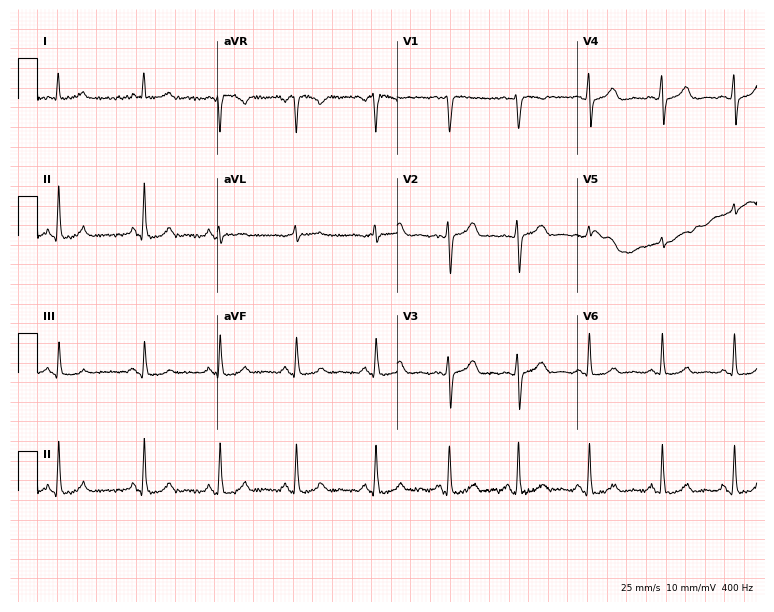
Electrocardiogram (7.3-second recording at 400 Hz), a female, 68 years old. Overall reading on record: normal ECG.